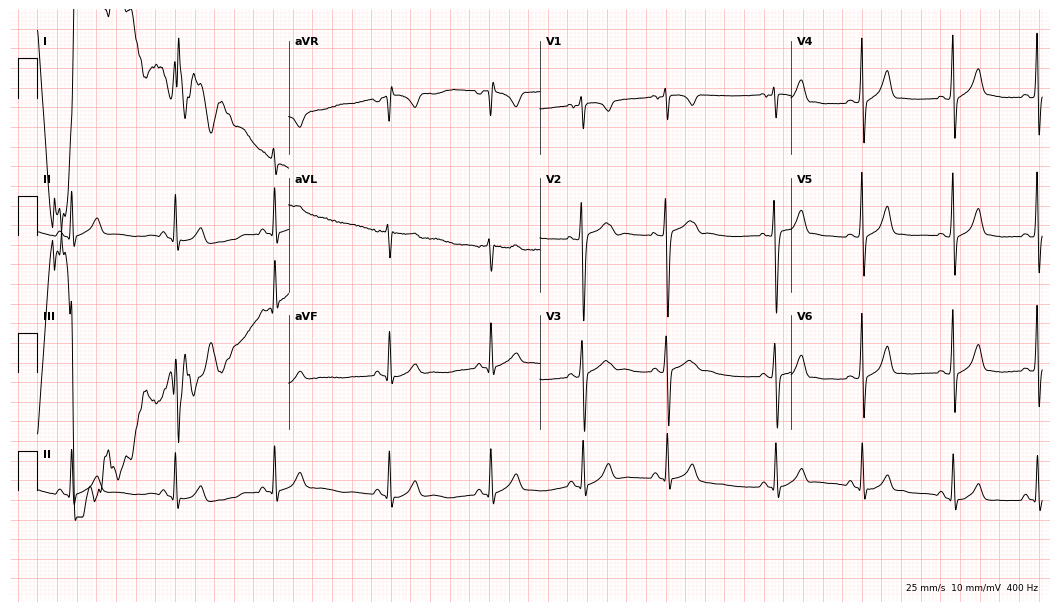
12-lead ECG from a male patient, 17 years old. No first-degree AV block, right bundle branch block (RBBB), left bundle branch block (LBBB), sinus bradycardia, atrial fibrillation (AF) or sinus tachycardia recorded for this tracing. Only these six findings were labelled.